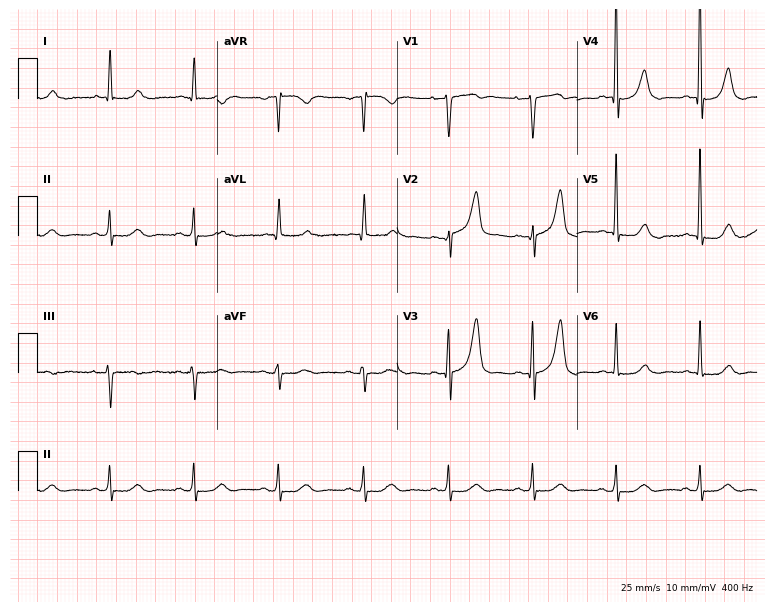
ECG (7.3-second recording at 400 Hz) — an 84-year-old male patient. Labelled as a normal ECG.